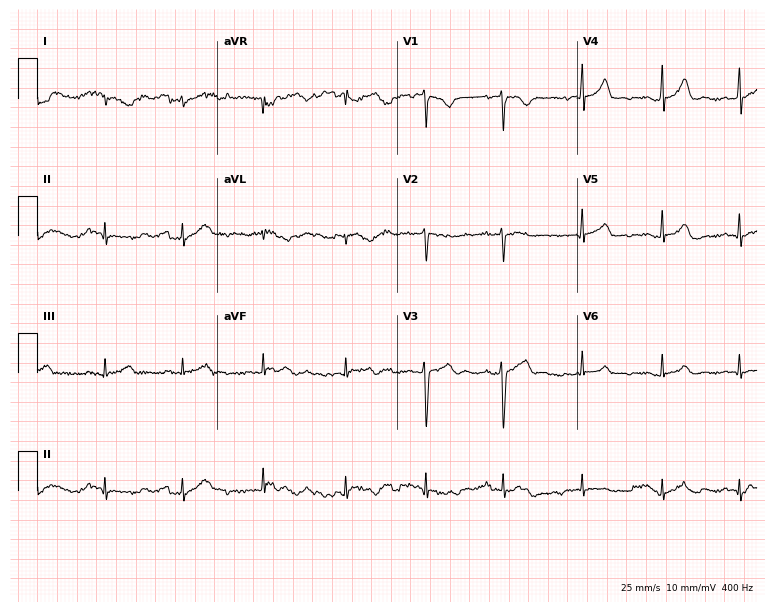
ECG (7.3-second recording at 400 Hz) — a 25-year-old female. Labelled as a normal ECG.